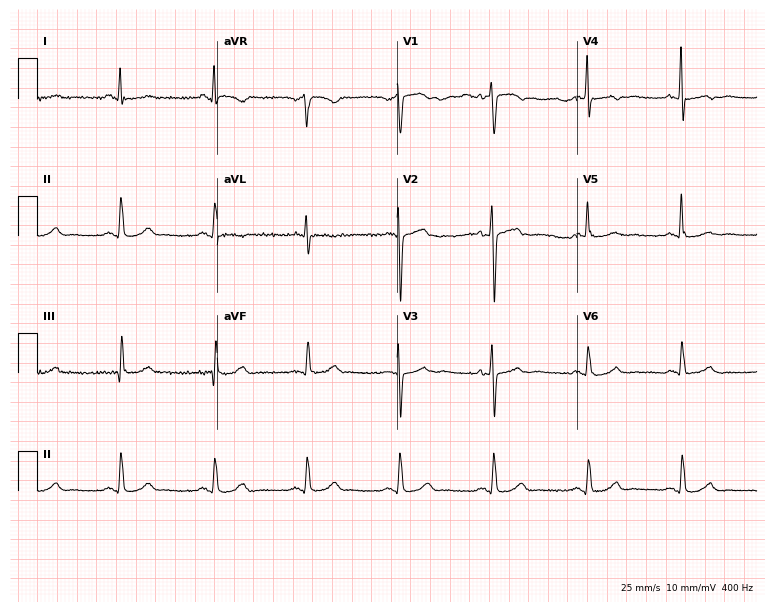
12-lead ECG (7.3-second recording at 400 Hz) from a male, 57 years old. Labelled as a normal ECG.